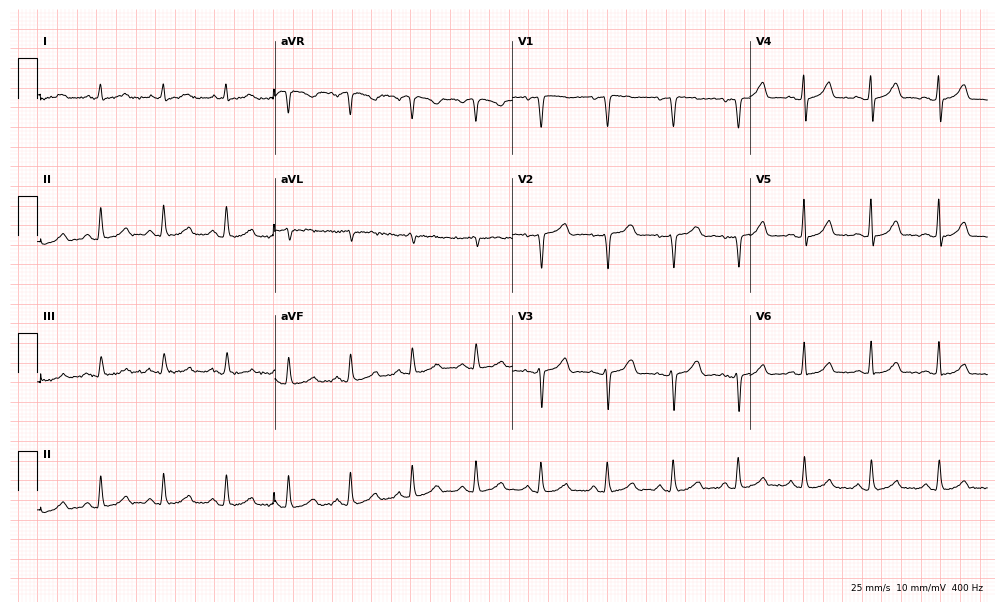
Electrocardiogram, a 49-year-old female. Overall reading on record: normal ECG.